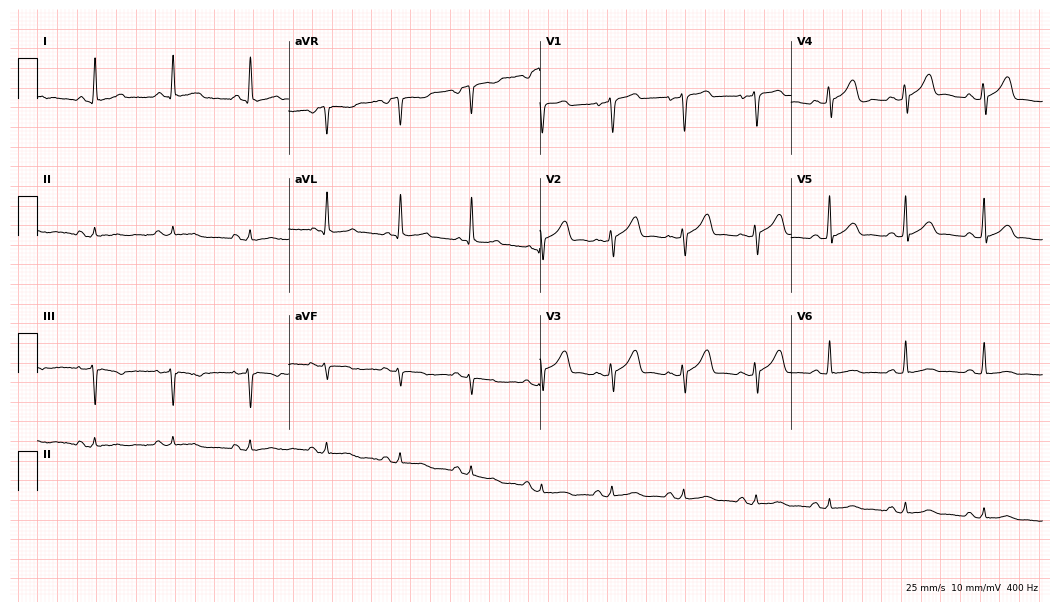
Standard 12-lead ECG recorded from a man, 55 years old. Read as a normal ECG.